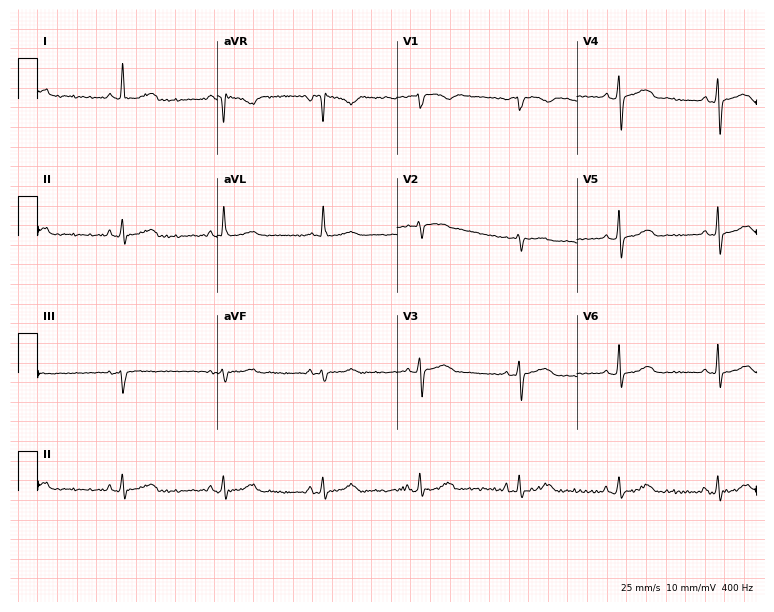
ECG — a female patient, 73 years old. Screened for six findings — first-degree AV block, right bundle branch block, left bundle branch block, sinus bradycardia, atrial fibrillation, sinus tachycardia — none is recorded. Only these six findings were labelled.